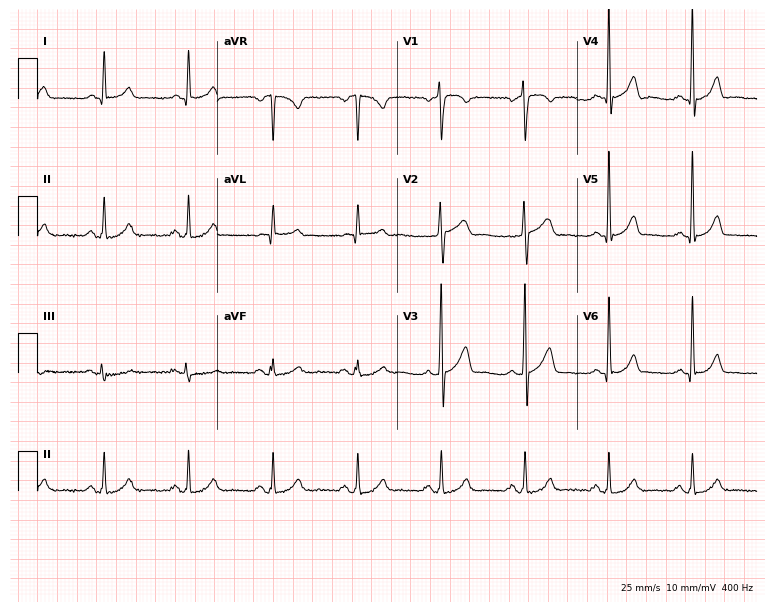
ECG (7.3-second recording at 400 Hz) — a 55-year-old male. Labelled as a normal ECG.